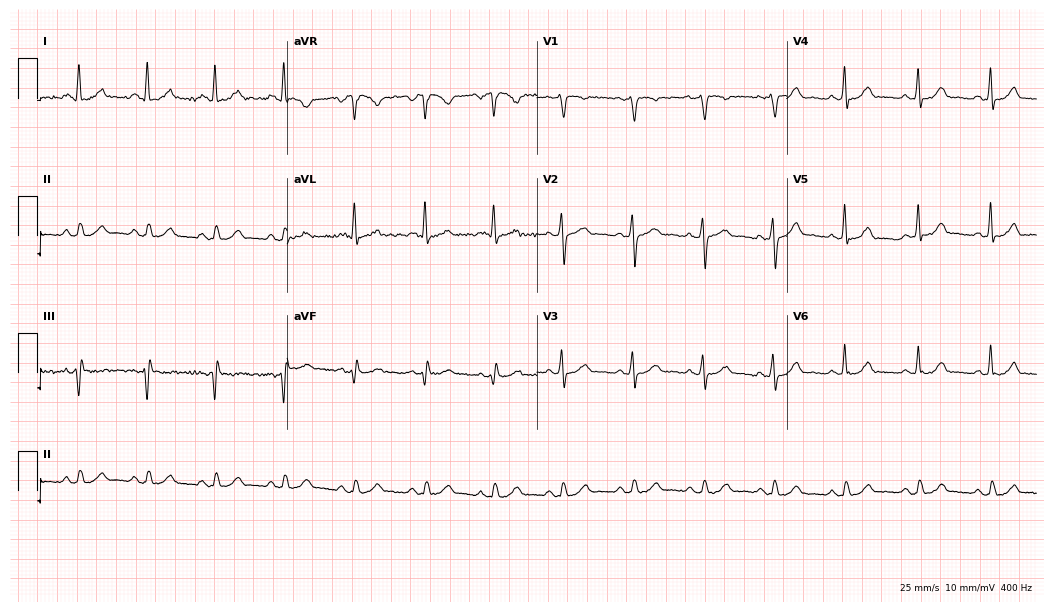
ECG (10.2-second recording at 400 Hz) — a 53-year-old female patient. Labelled as a normal ECG.